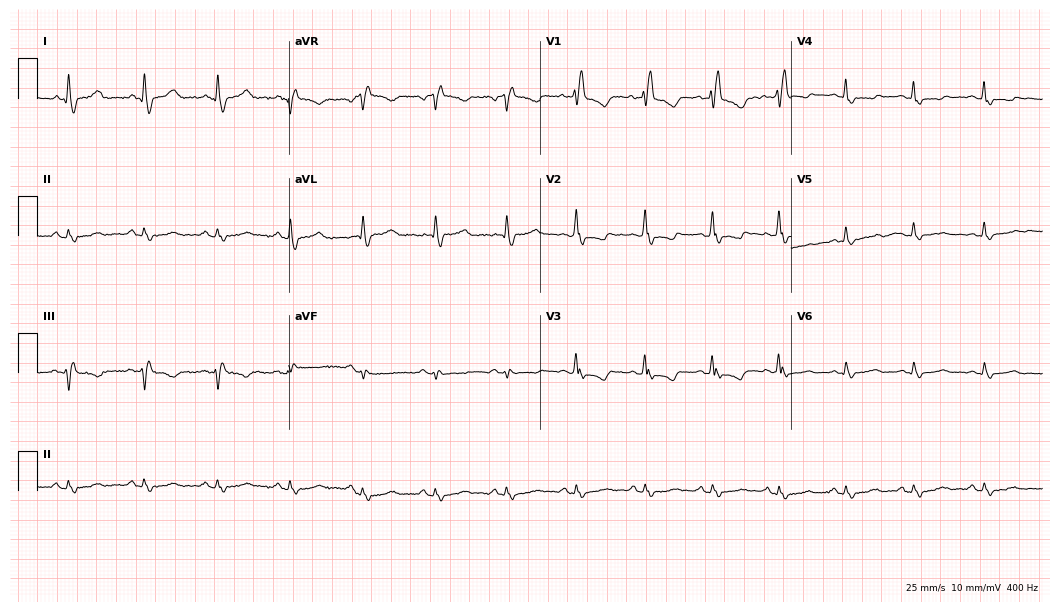
Standard 12-lead ECG recorded from a 51-year-old female patient (10.2-second recording at 400 Hz). The tracing shows right bundle branch block.